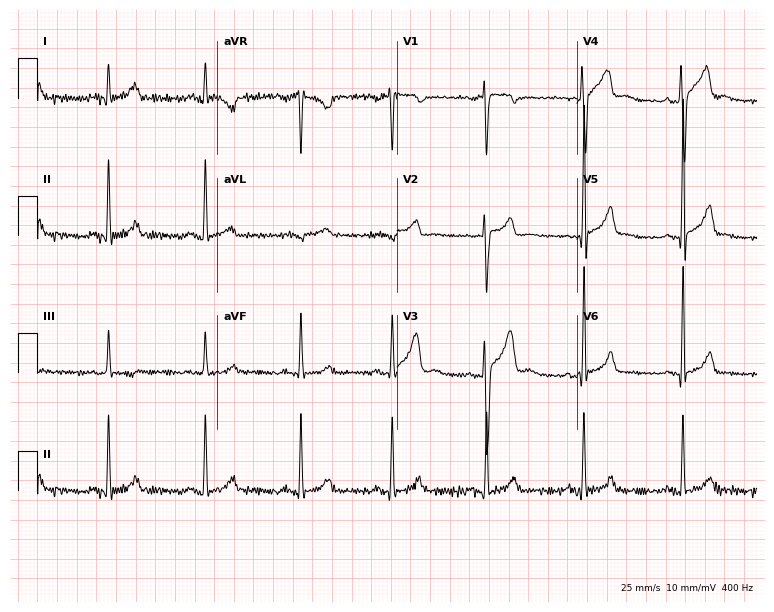
Resting 12-lead electrocardiogram. Patient: a 28-year-old male. None of these six findings is recorded: first-degree AV block, right bundle branch block, left bundle branch block, sinus bradycardia, atrial fibrillation, sinus tachycardia. Other findings, if any, are not listed.